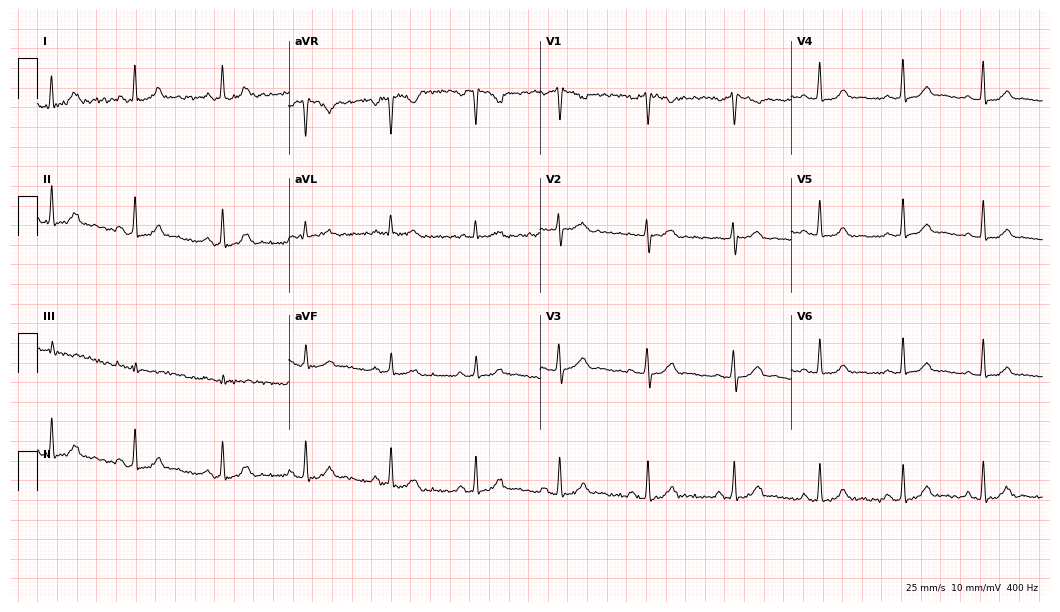
Resting 12-lead electrocardiogram (10.2-second recording at 400 Hz). Patient: a female, 35 years old. Read as a normal ECG.